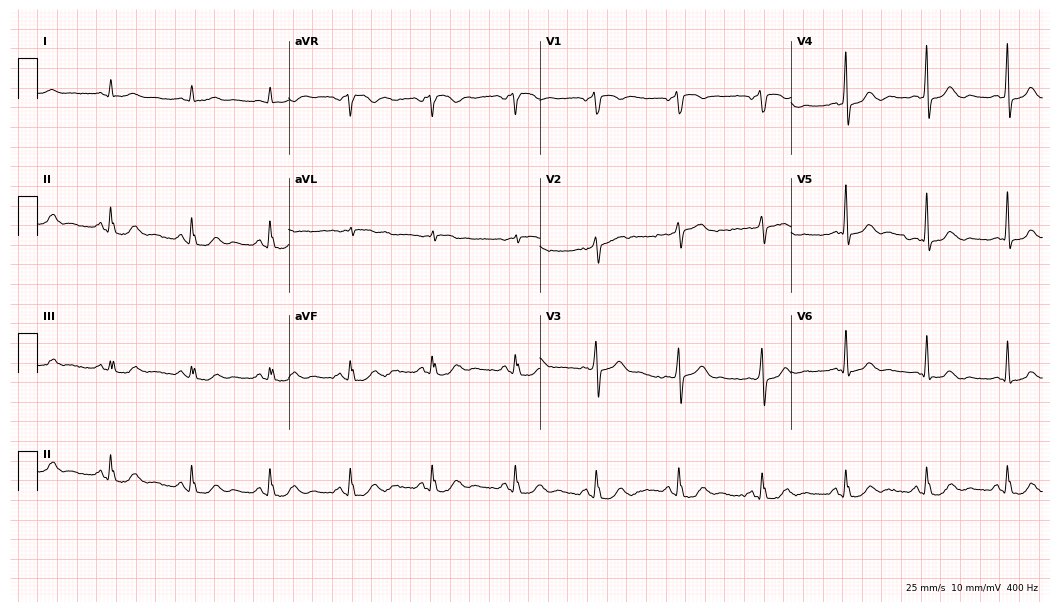
12-lead ECG (10.2-second recording at 400 Hz) from a 65-year-old male patient. Screened for six findings — first-degree AV block, right bundle branch block, left bundle branch block, sinus bradycardia, atrial fibrillation, sinus tachycardia — none is recorded. Other findings, if any, are not listed.